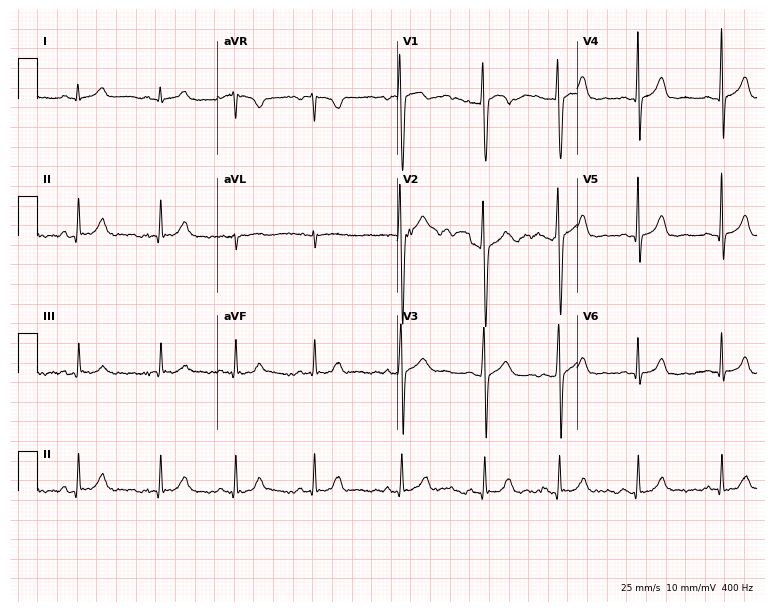
12-lead ECG (7.3-second recording at 400 Hz) from a woman, 17 years old. Labelled as a normal ECG.